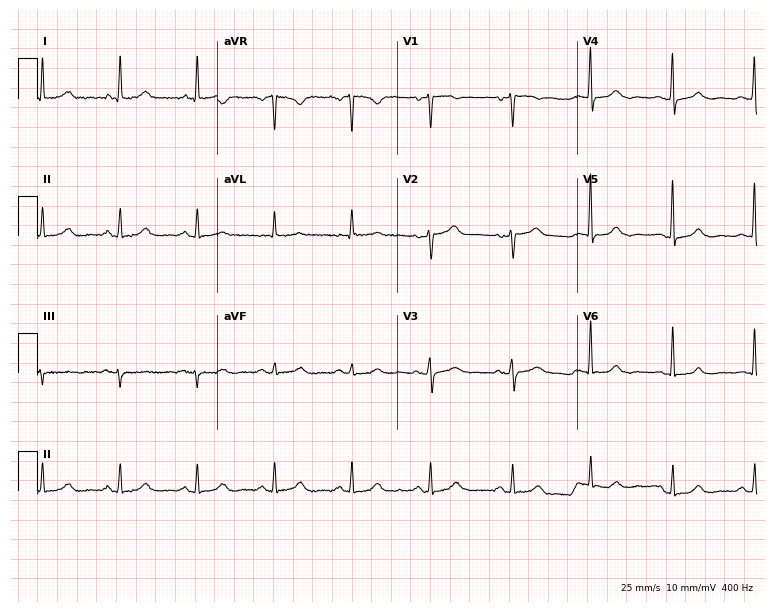
Standard 12-lead ECG recorded from a 61-year-old woman (7.3-second recording at 400 Hz). Read as a normal ECG.